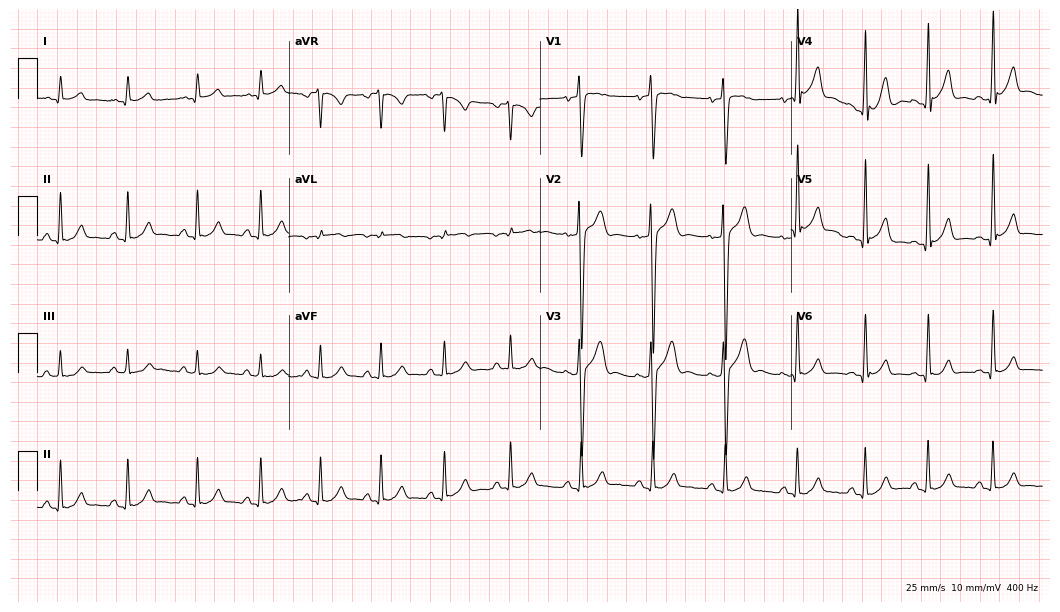
Resting 12-lead electrocardiogram. Patient: a male, 18 years old. Read as a normal ECG.